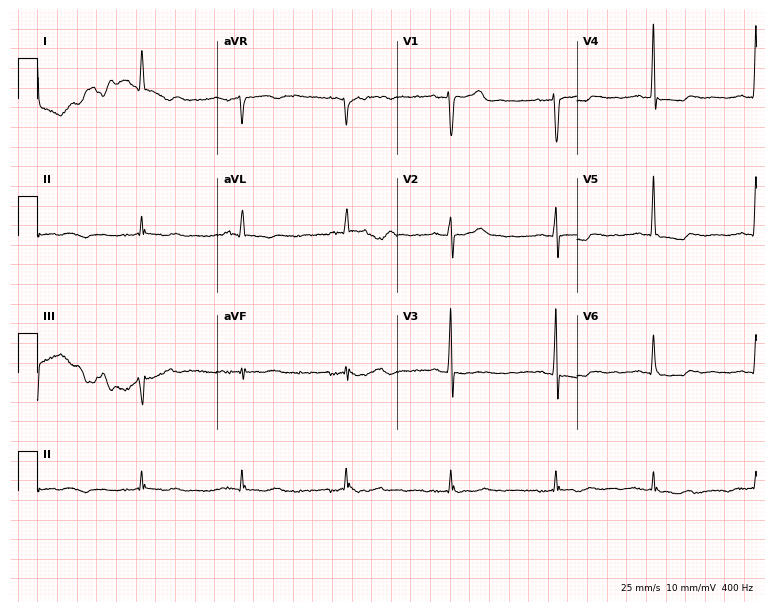
Resting 12-lead electrocardiogram. Patient: a male, 75 years old. None of these six findings is recorded: first-degree AV block, right bundle branch block, left bundle branch block, sinus bradycardia, atrial fibrillation, sinus tachycardia.